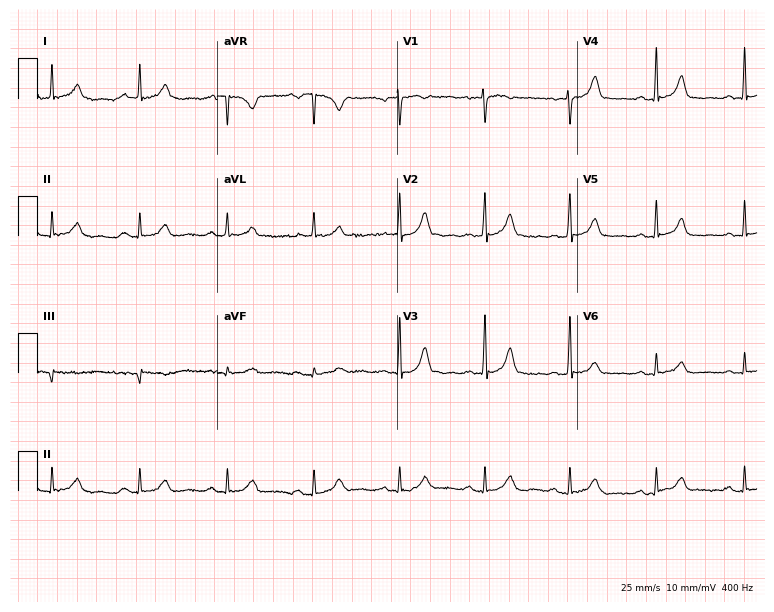
12-lead ECG (7.3-second recording at 400 Hz) from a 69-year-old female patient. Screened for six findings — first-degree AV block, right bundle branch block, left bundle branch block, sinus bradycardia, atrial fibrillation, sinus tachycardia — none is recorded. Other findings, if any, are not listed.